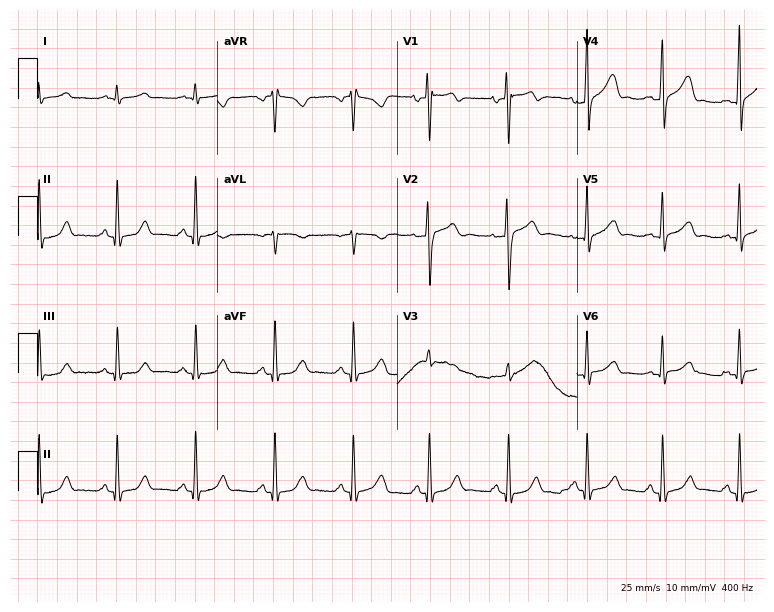
Standard 12-lead ECG recorded from a male patient, 36 years old (7.3-second recording at 400 Hz). Read as a normal ECG.